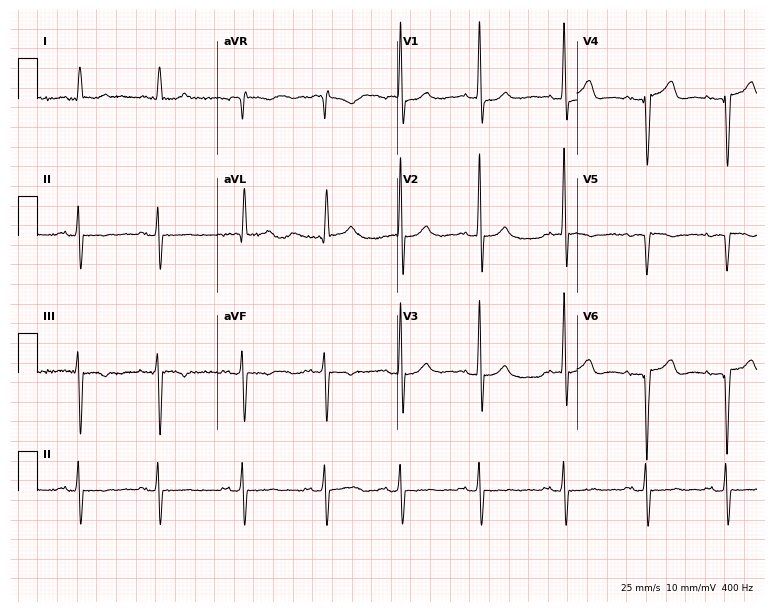
12-lead ECG from a female, 81 years old. Screened for six findings — first-degree AV block, right bundle branch block (RBBB), left bundle branch block (LBBB), sinus bradycardia, atrial fibrillation (AF), sinus tachycardia — none is recorded.